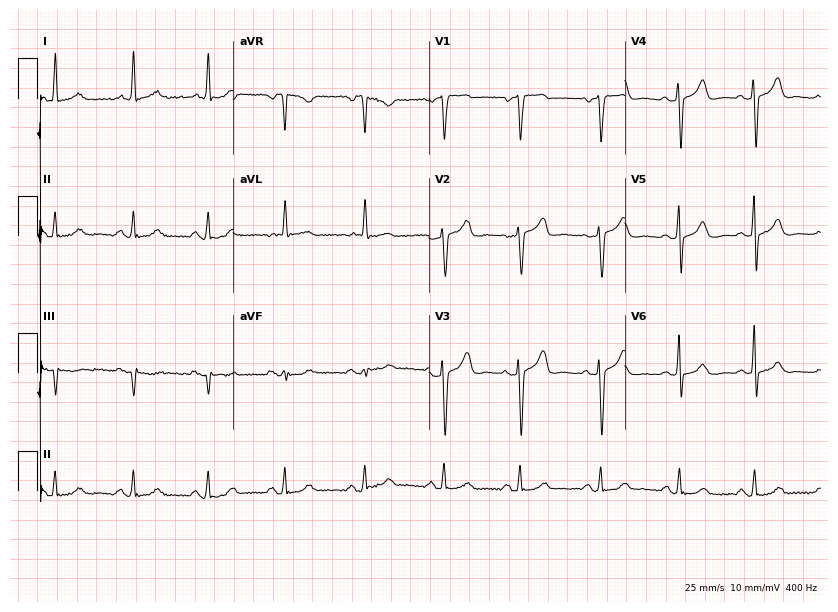
12-lead ECG from a 60-year-old female. No first-degree AV block, right bundle branch block, left bundle branch block, sinus bradycardia, atrial fibrillation or sinus tachycardia recorded for this tracing. Findings outside these six are not listed.